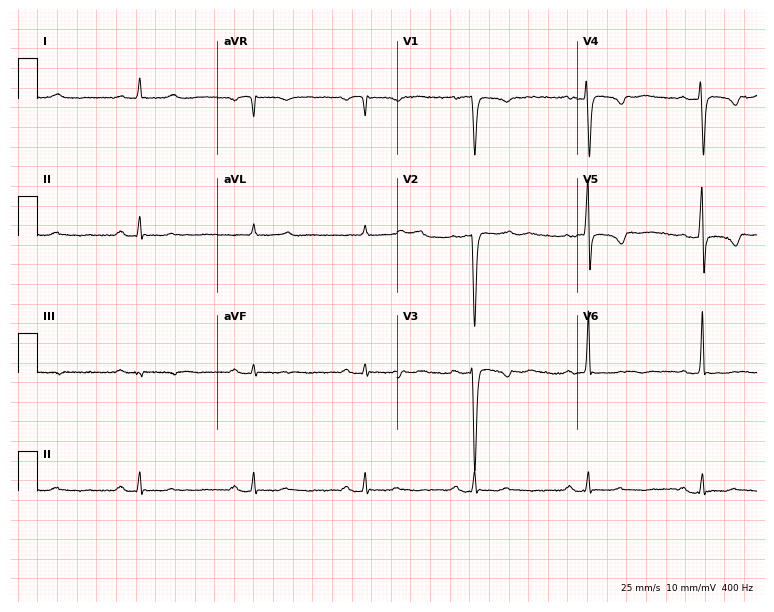
Resting 12-lead electrocardiogram. Patient: a 56-year-old male. None of these six findings is recorded: first-degree AV block, right bundle branch block, left bundle branch block, sinus bradycardia, atrial fibrillation, sinus tachycardia. Other findings, if any, are not listed.